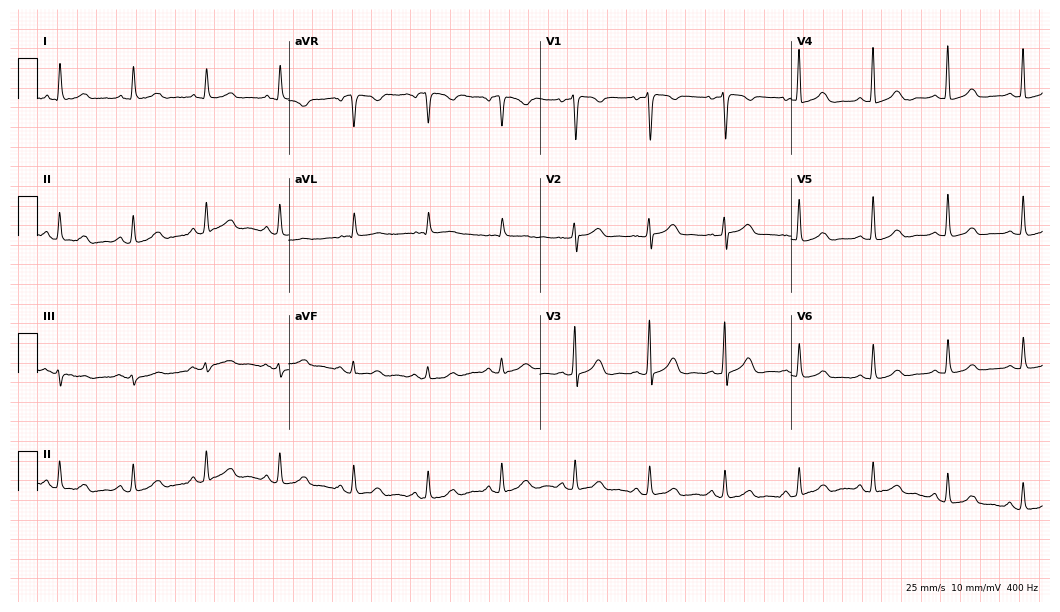
Resting 12-lead electrocardiogram. Patient: a female, 75 years old. Read as a normal ECG.